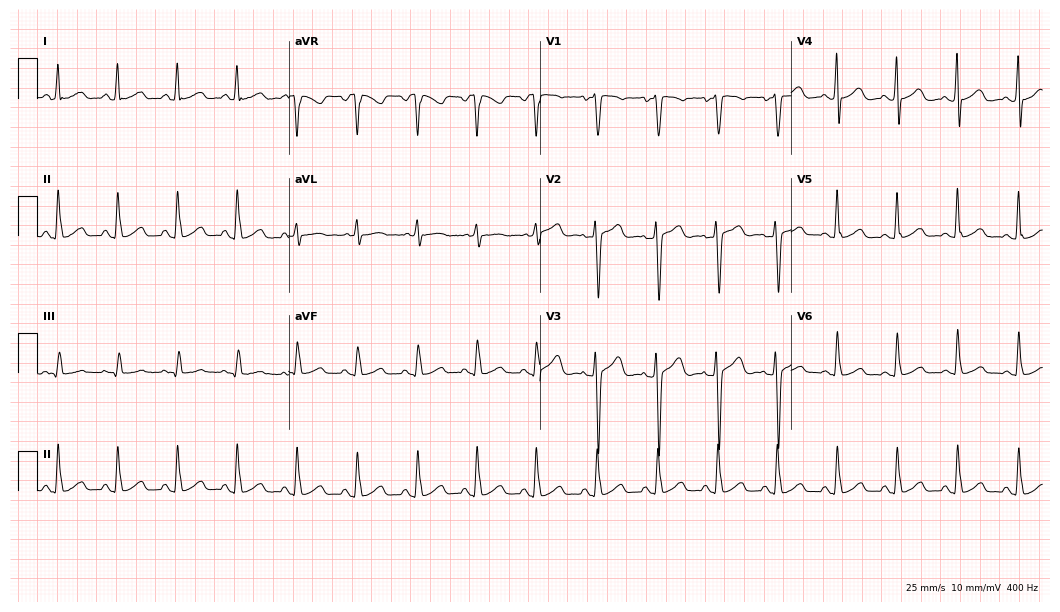
12-lead ECG from a female patient, 23 years old. Recorded interpretation: within normal limits.